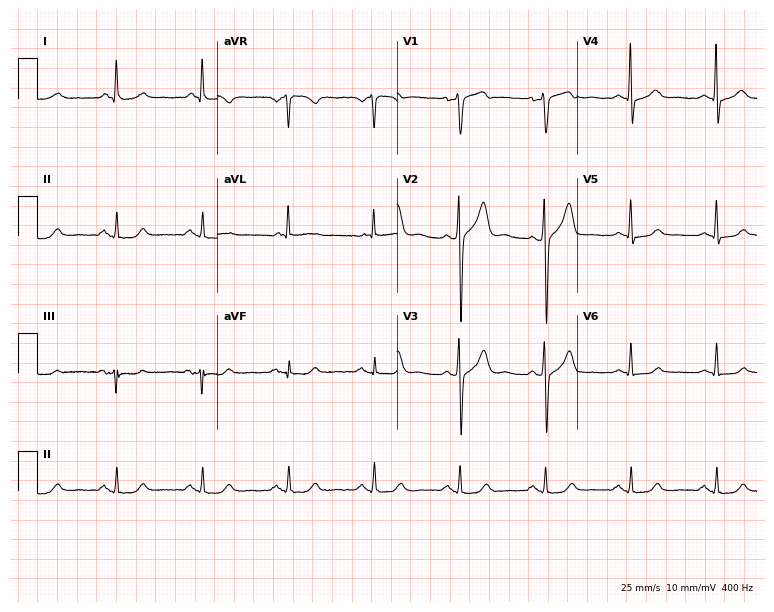
12-lead ECG (7.3-second recording at 400 Hz) from a 78-year-old man. Labelled as a normal ECG.